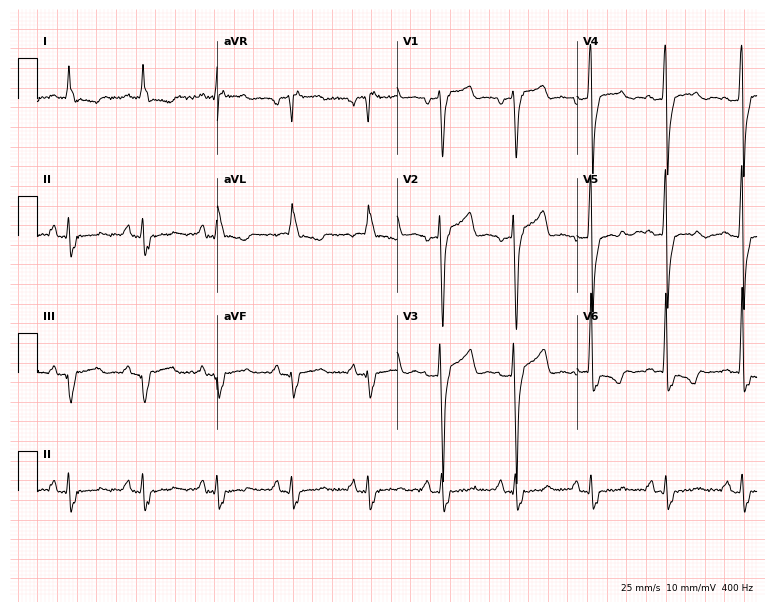
12-lead ECG from a 57-year-old man. Screened for six findings — first-degree AV block, right bundle branch block, left bundle branch block, sinus bradycardia, atrial fibrillation, sinus tachycardia — none is recorded. Findings outside these six are not listed.